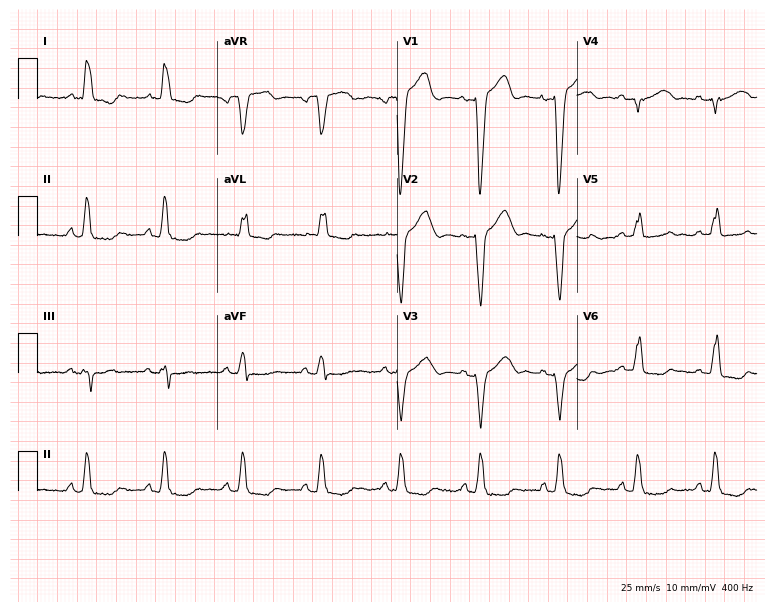
12-lead ECG from a female patient, 76 years old. No first-degree AV block, right bundle branch block (RBBB), left bundle branch block (LBBB), sinus bradycardia, atrial fibrillation (AF) or sinus tachycardia recorded for this tracing. Findings outside these six are not listed.